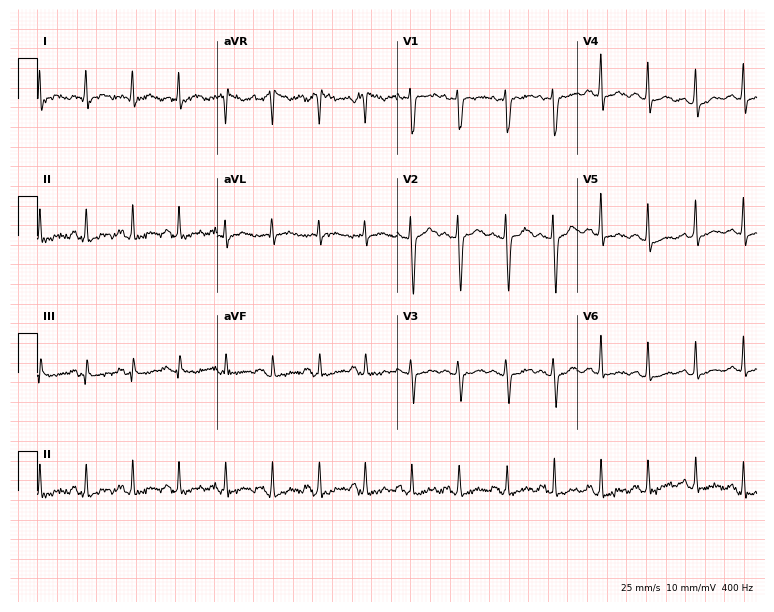
Standard 12-lead ECG recorded from a female patient, 23 years old (7.3-second recording at 400 Hz). The tracing shows sinus tachycardia (a sinus rate of 100 beats per minute or more).